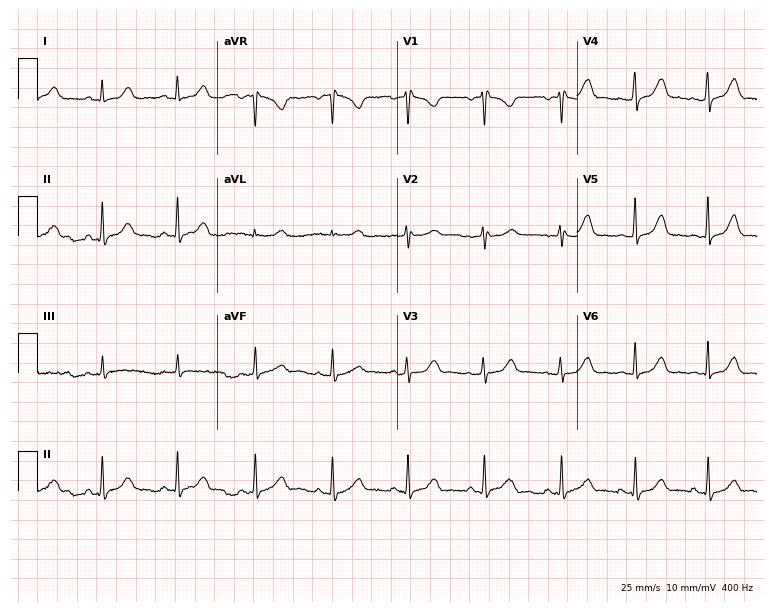
12-lead ECG (7.3-second recording at 400 Hz) from a female, 25 years old. Screened for six findings — first-degree AV block, right bundle branch block (RBBB), left bundle branch block (LBBB), sinus bradycardia, atrial fibrillation (AF), sinus tachycardia — none is recorded. Only these six findings were labelled.